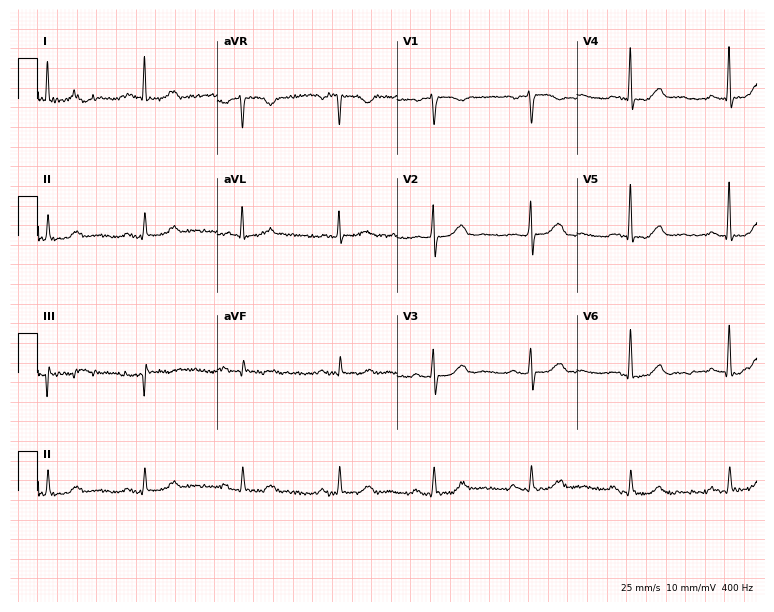
12-lead ECG from a 67-year-old female. Recorded interpretation: within normal limits.